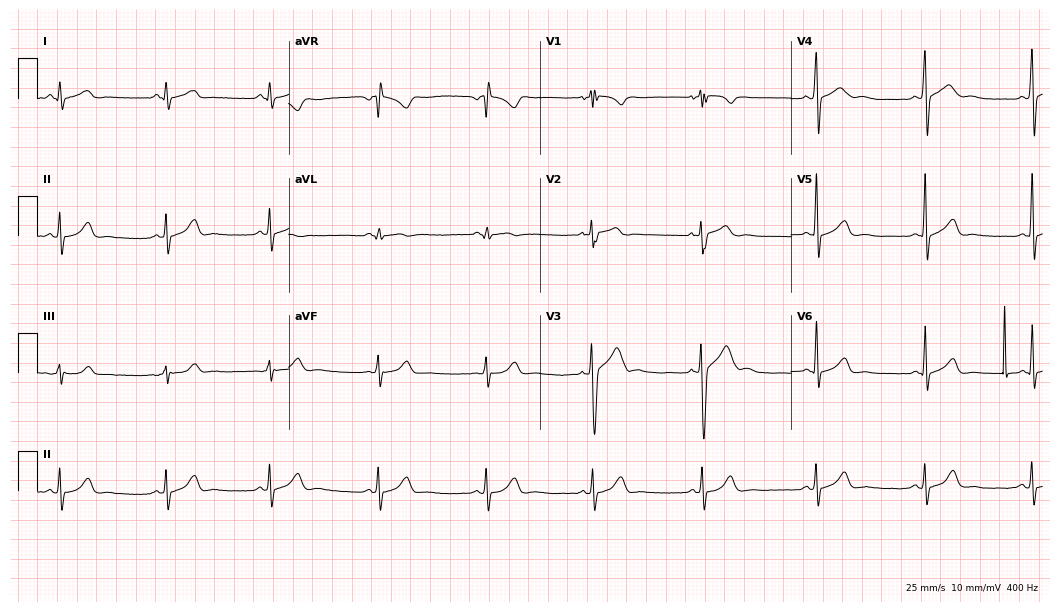
Electrocardiogram (10.2-second recording at 400 Hz), an 18-year-old man. Overall reading on record: normal ECG.